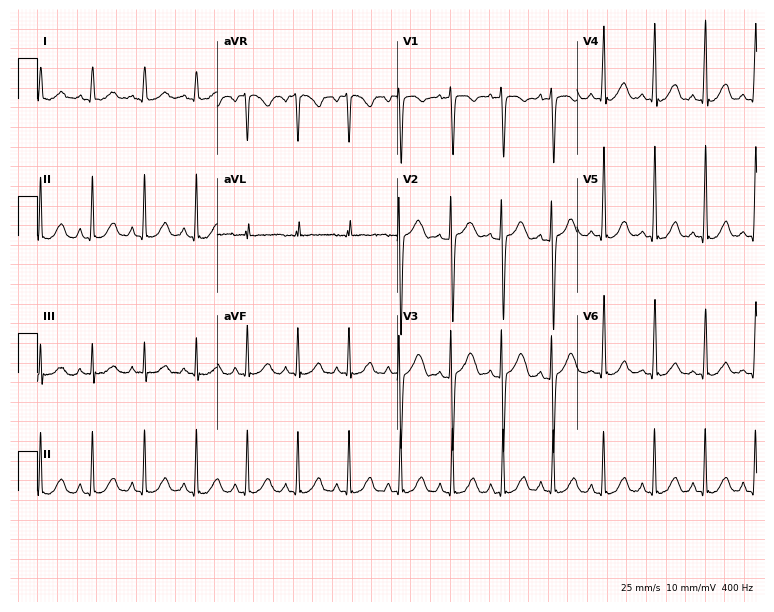
ECG (7.3-second recording at 400 Hz) — a woman, 37 years old. Findings include sinus tachycardia (a sinus rate of 100 beats per minute or more).